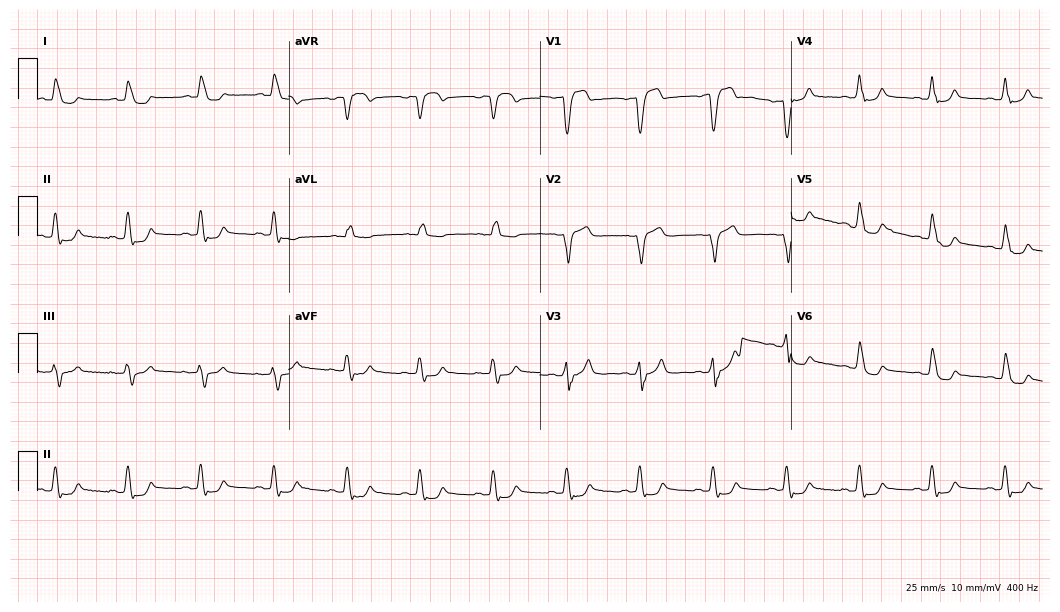
Standard 12-lead ECG recorded from a 72-year-old male patient (10.2-second recording at 400 Hz). None of these six findings is recorded: first-degree AV block, right bundle branch block (RBBB), left bundle branch block (LBBB), sinus bradycardia, atrial fibrillation (AF), sinus tachycardia.